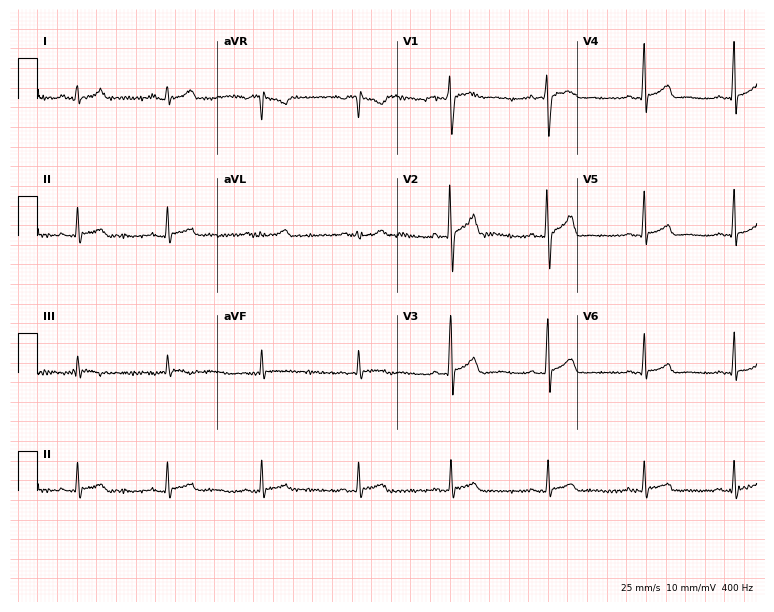
Electrocardiogram (7.3-second recording at 400 Hz), a female patient, 21 years old. Overall reading on record: normal ECG.